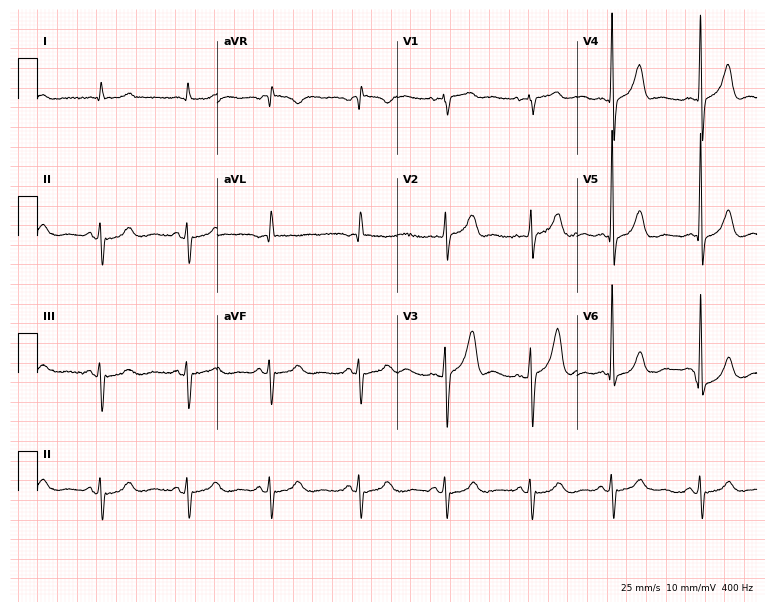
Standard 12-lead ECG recorded from a male patient, 83 years old. None of these six findings is recorded: first-degree AV block, right bundle branch block (RBBB), left bundle branch block (LBBB), sinus bradycardia, atrial fibrillation (AF), sinus tachycardia.